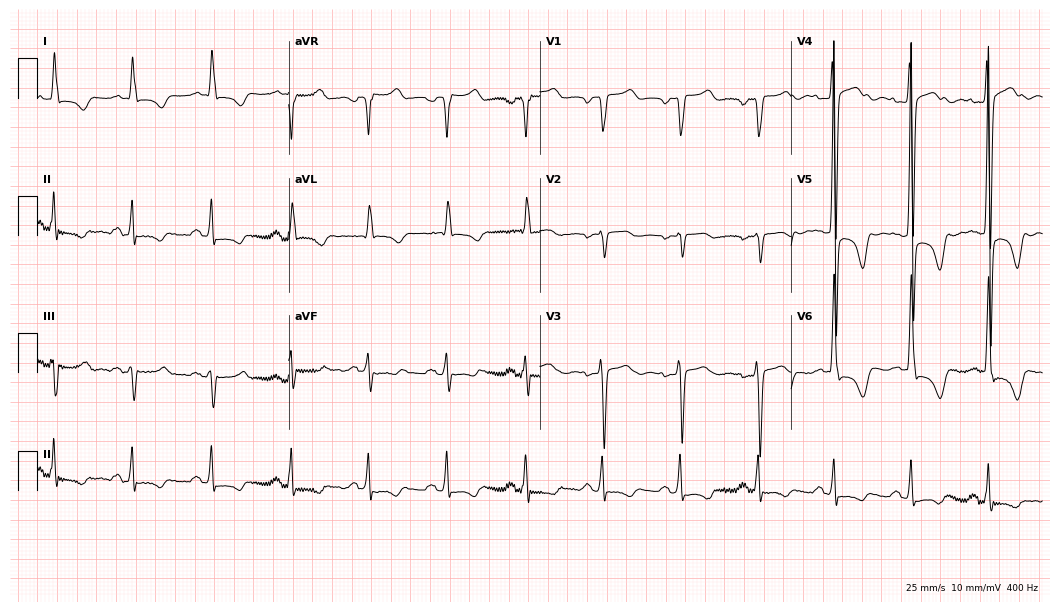
Standard 12-lead ECG recorded from a 68-year-old man. None of these six findings is recorded: first-degree AV block, right bundle branch block (RBBB), left bundle branch block (LBBB), sinus bradycardia, atrial fibrillation (AF), sinus tachycardia.